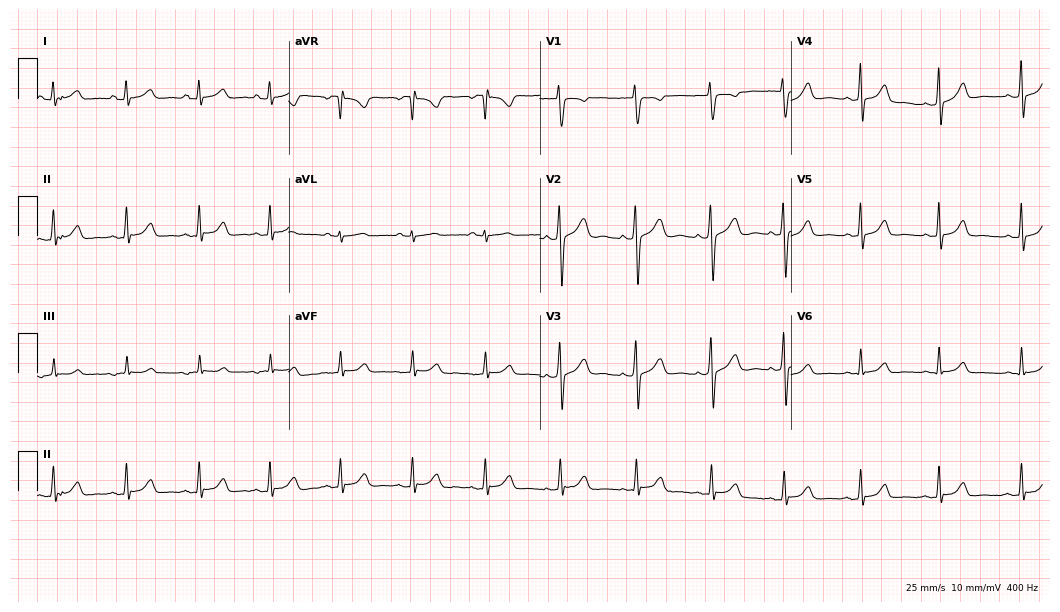
12-lead ECG from a woman, 18 years old. No first-degree AV block, right bundle branch block, left bundle branch block, sinus bradycardia, atrial fibrillation or sinus tachycardia recorded for this tracing. Findings outside these six are not listed.